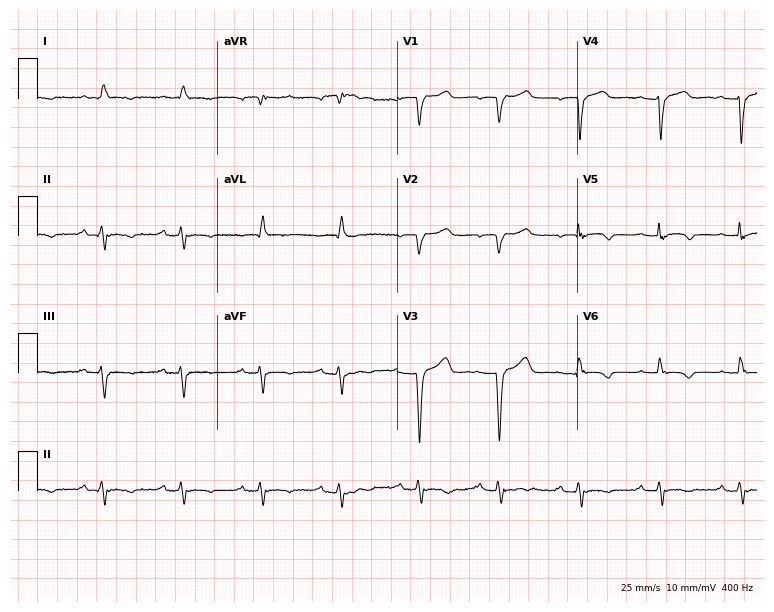
Resting 12-lead electrocardiogram. Patient: a male, 68 years old. None of these six findings is recorded: first-degree AV block, right bundle branch block (RBBB), left bundle branch block (LBBB), sinus bradycardia, atrial fibrillation (AF), sinus tachycardia.